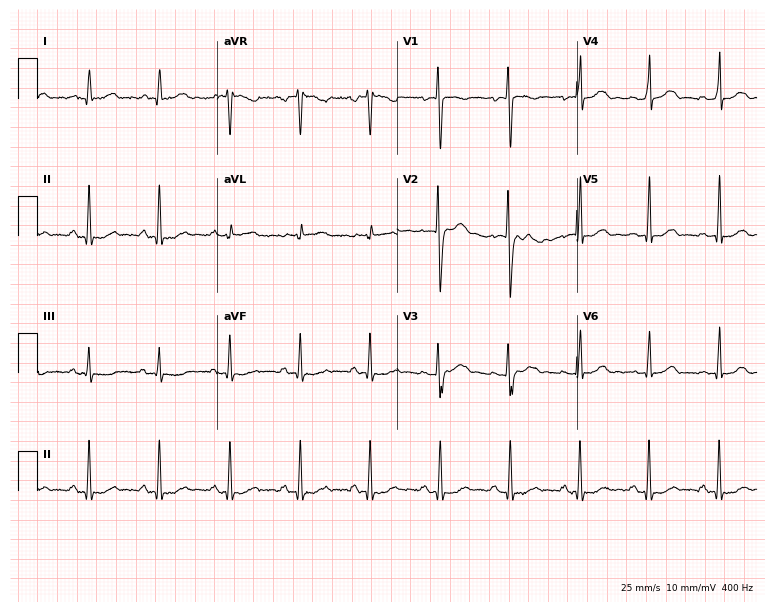
Electrocardiogram (7.3-second recording at 400 Hz), a 38-year-old woman. Overall reading on record: normal ECG.